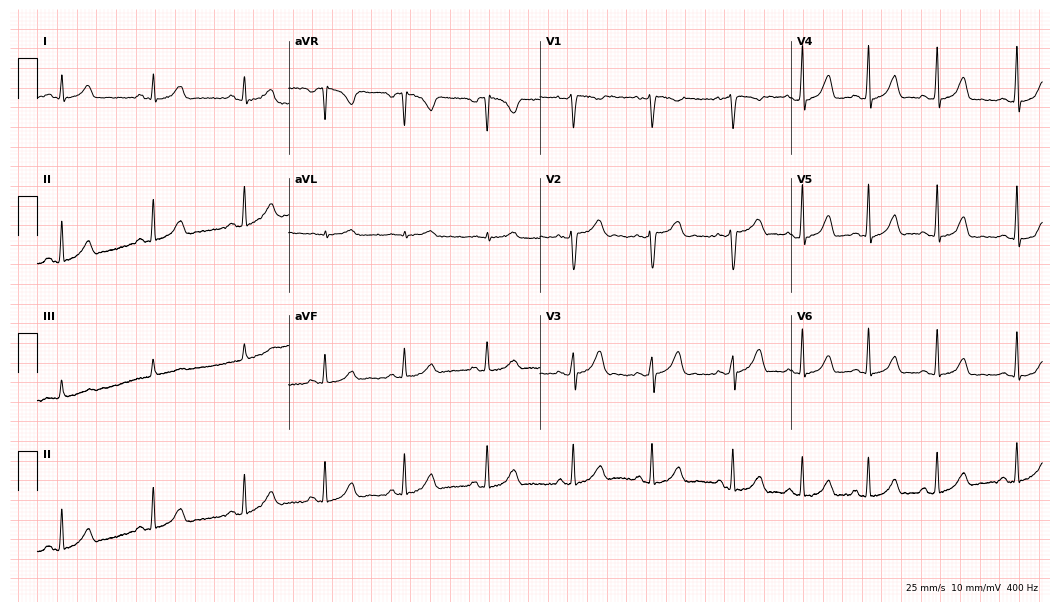
12-lead ECG from a female patient, 25 years old (10.2-second recording at 400 Hz). Recorded interpretation: within normal limits.